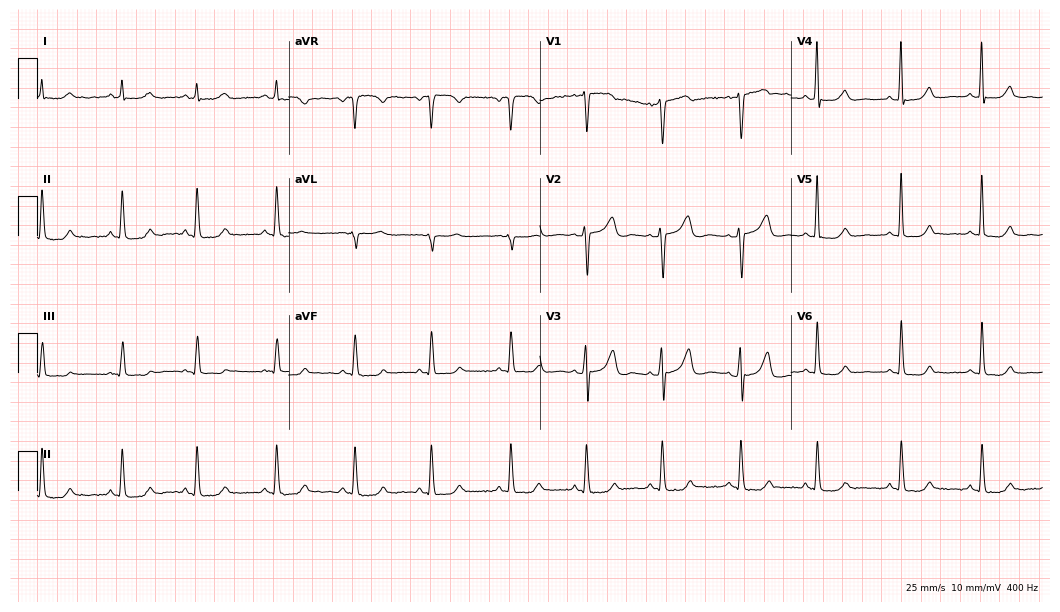
Electrocardiogram (10.2-second recording at 400 Hz), a female patient, 39 years old. Overall reading on record: normal ECG.